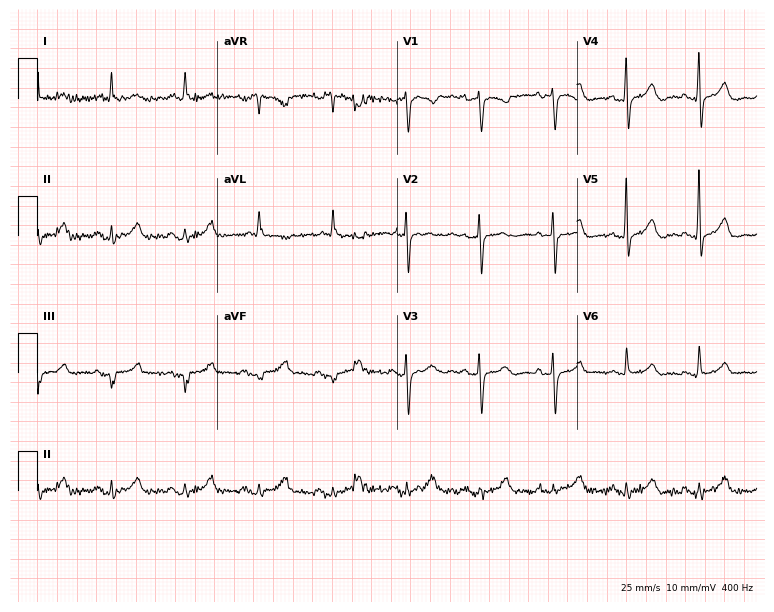
12-lead ECG from a 76-year-old female. Screened for six findings — first-degree AV block, right bundle branch block, left bundle branch block, sinus bradycardia, atrial fibrillation, sinus tachycardia — none is recorded.